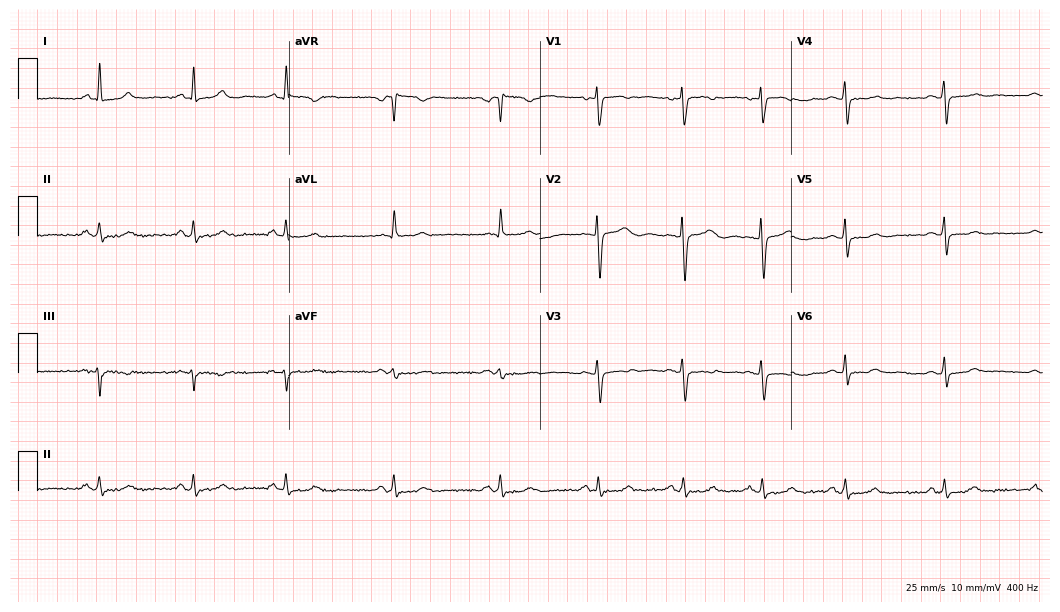
12-lead ECG from a female patient, 35 years old (10.2-second recording at 400 Hz). No first-degree AV block, right bundle branch block, left bundle branch block, sinus bradycardia, atrial fibrillation or sinus tachycardia recorded for this tracing.